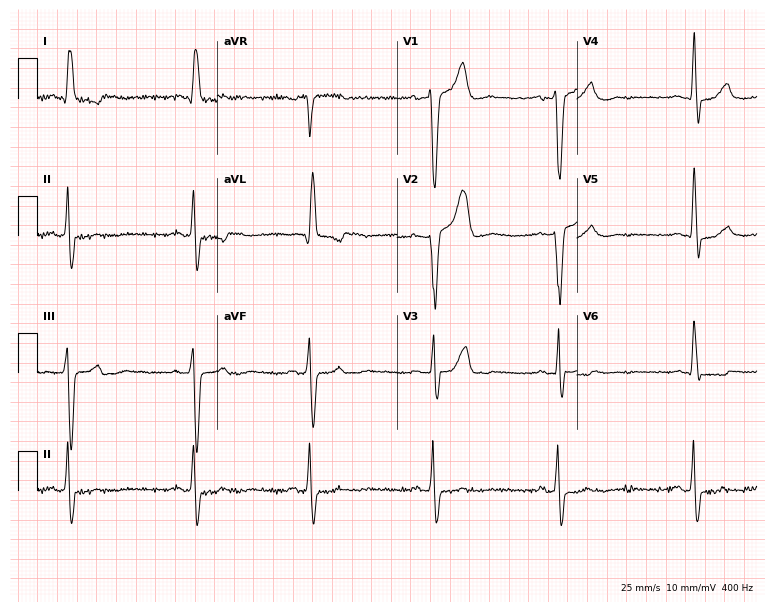
Standard 12-lead ECG recorded from a male, 83 years old. None of these six findings is recorded: first-degree AV block, right bundle branch block, left bundle branch block, sinus bradycardia, atrial fibrillation, sinus tachycardia. Only these six findings were labelled.